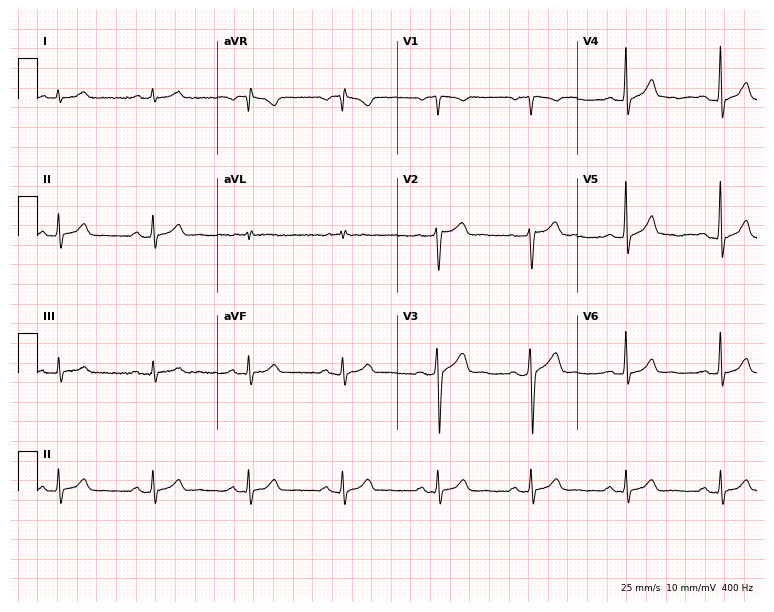
ECG — a male, 62 years old. Labelled as a normal ECG.